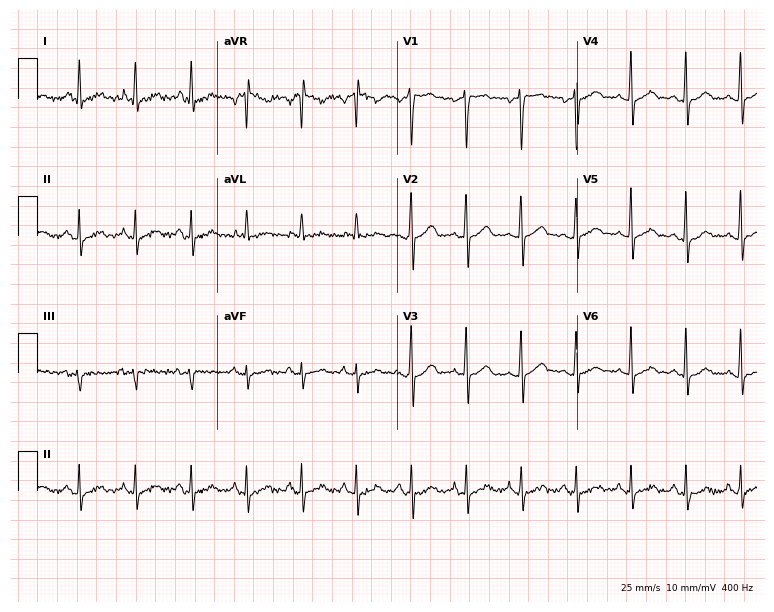
Standard 12-lead ECG recorded from a 60-year-old male (7.3-second recording at 400 Hz). None of these six findings is recorded: first-degree AV block, right bundle branch block (RBBB), left bundle branch block (LBBB), sinus bradycardia, atrial fibrillation (AF), sinus tachycardia. Findings outside these six are not listed.